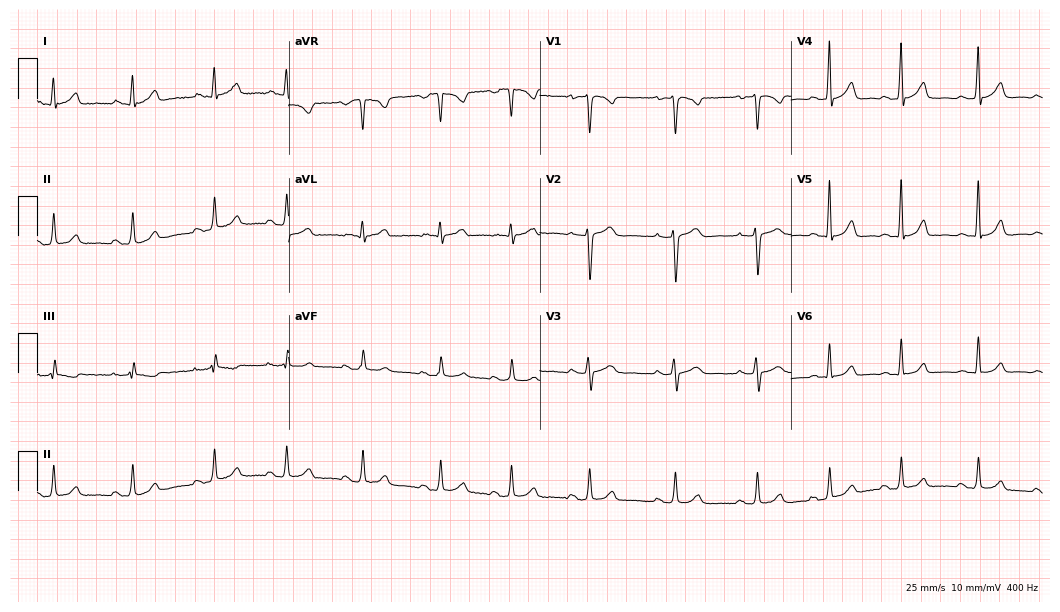
Resting 12-lead electrocardiogram (10.2-second recording at 400 Hz). Patient: a female, 68 years old. Read as a normal ECG.